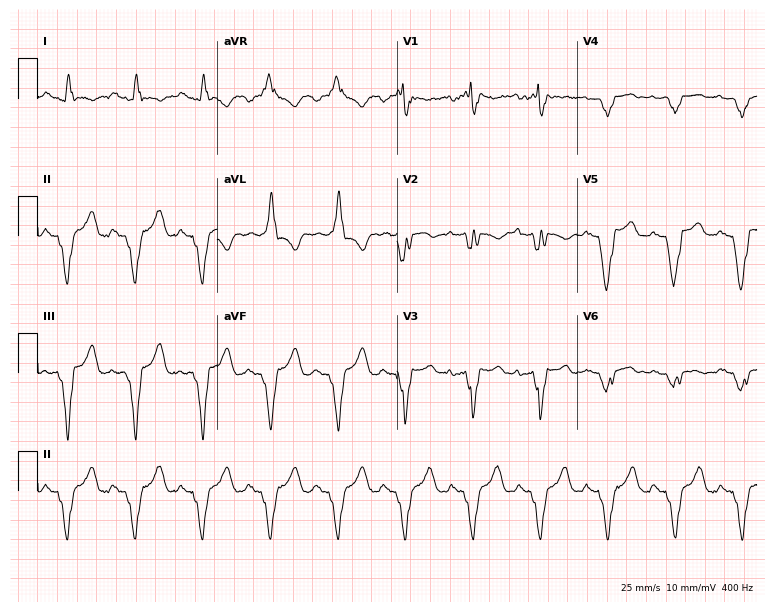
Electrocardiogram (7.3-second recording at 400 Hz), a 40-year-old male. Of the six screened findings (first-degree AV block, right bundle branch block, left bundle branch block, sinus bradycardia, atrial fibrillation, sinus tachycardia), none is recorded. Findings outside these six are not listed.